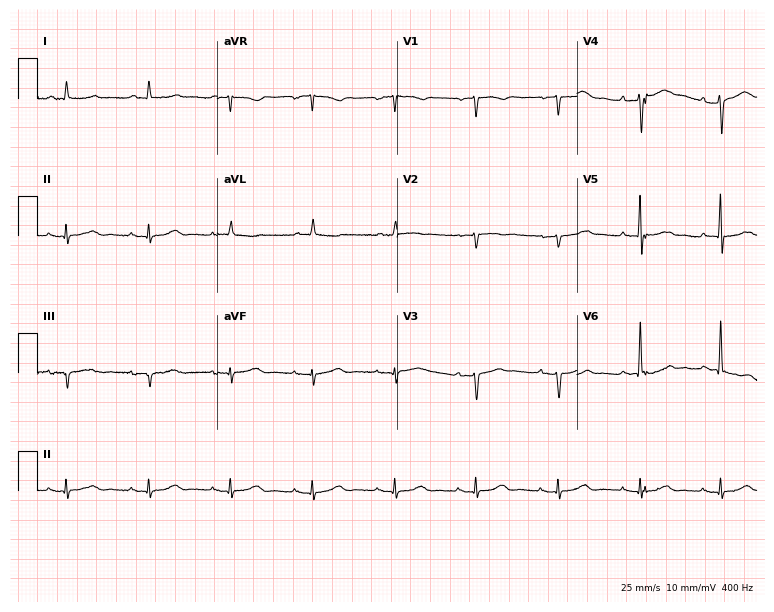
12-lead ECG (7.3-second recording at 400 Hz) from a 67-year-old male. Labelled as a normal ECG.